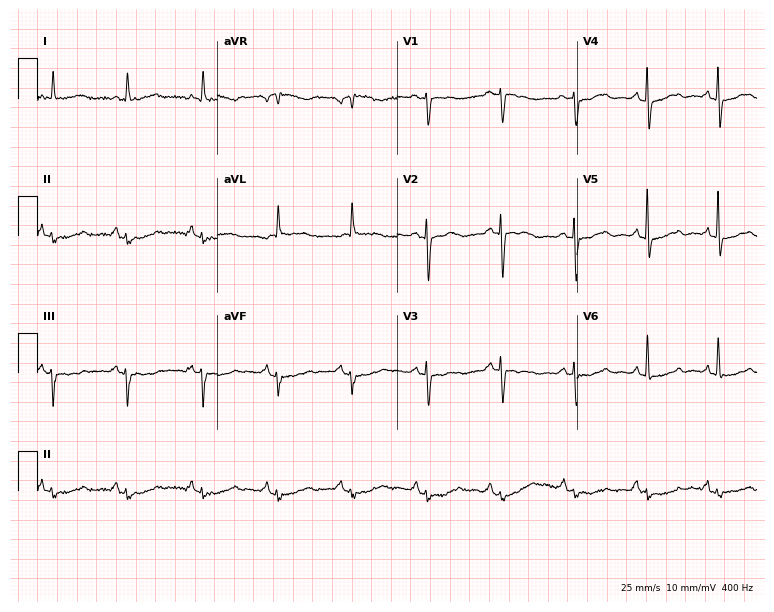
12-lead ECG from a woman, 83 years old. Screened for six findings — first-degree AV block, right bundle branch block, left bundle branch block, sinus bradycardia, atrial fibrillation, sinus tachycardia — none is recorded. Other findings, if any, are not listed.